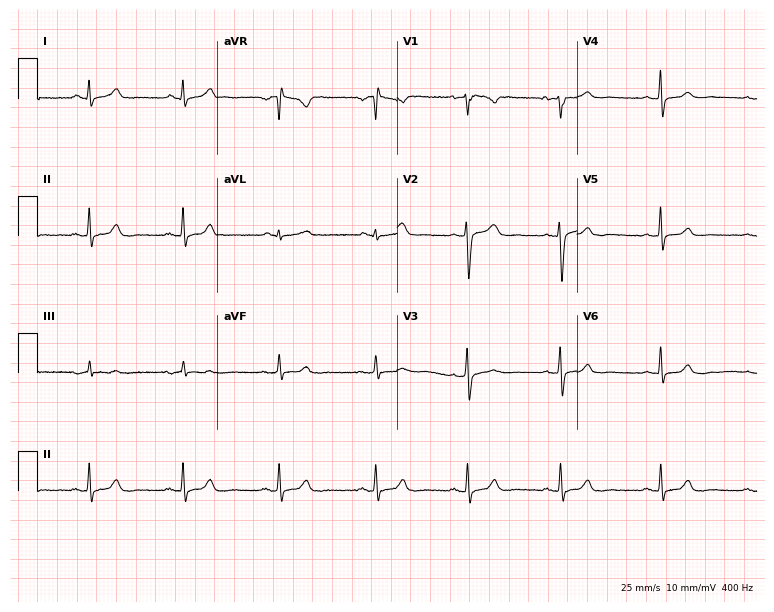
ECG — a female patient, 33 years old. Labelled as a normal ECG.